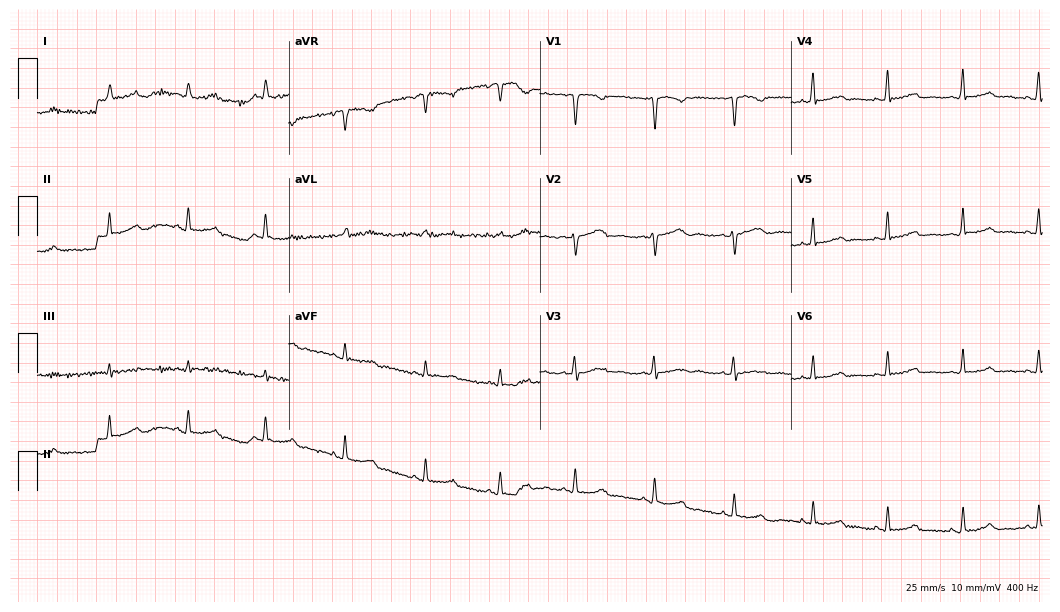
Standard 12-lead ECG recorded from a 36-year-old female patient. None of these six findings is recorded: first-degree AV block, right bundle branch block (RBBB), left bundle branch block (LBBB), sinus bradycardia, atrial fibrillation (AF), sinus tachycardia. Findings outside these six are not listed.